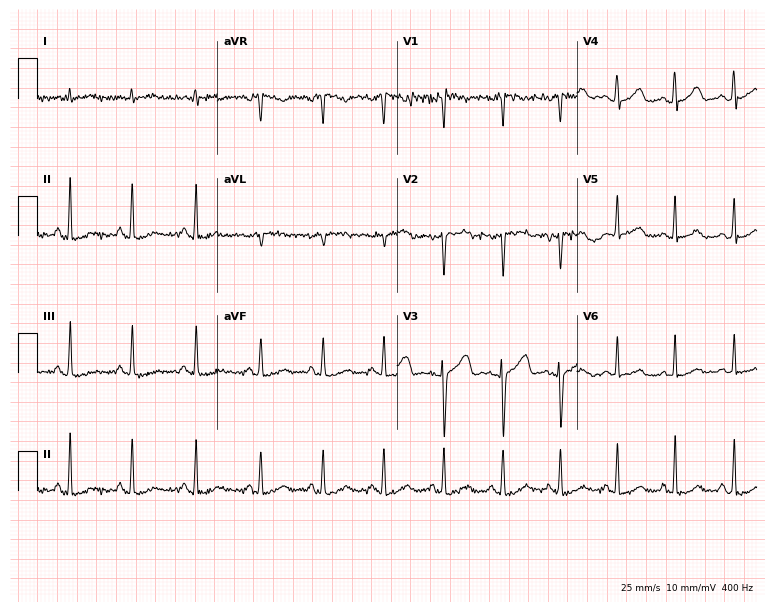
Electrocardiogram, a 25-year-old female patient. Of the six screened findings (first-degree AV block, right bundle branch block (RBBB), left bundle branch block (LBBB), sinus bradycardia, atrial fibrillation (AF), sinus tachycardia), none is recorded.